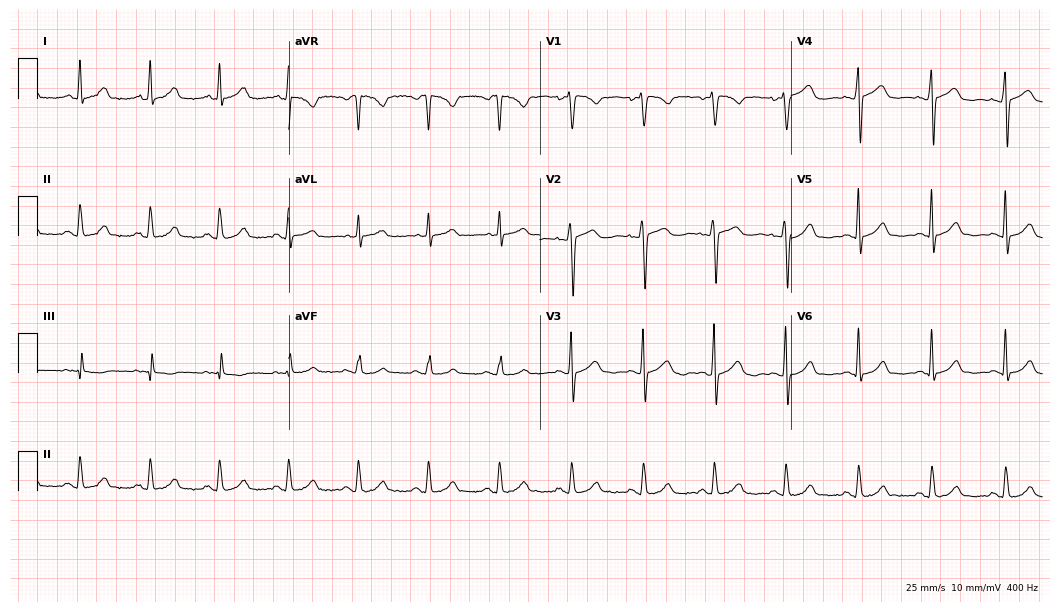
Standard 12-lead ECG recorded from a 44-year-old woman (10.2-second recording at 400 Hz). Read as a normal ECG.